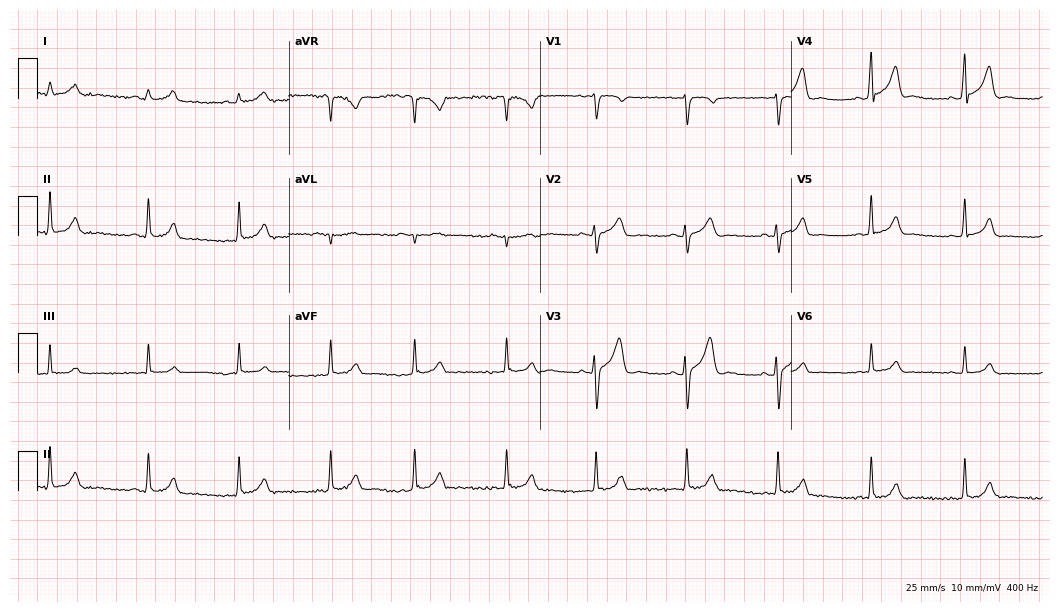
Electrocardiogram (10.2-second recording at 400 Hz), a male patient, 28 years old. Overall reading on record: normal ECG.